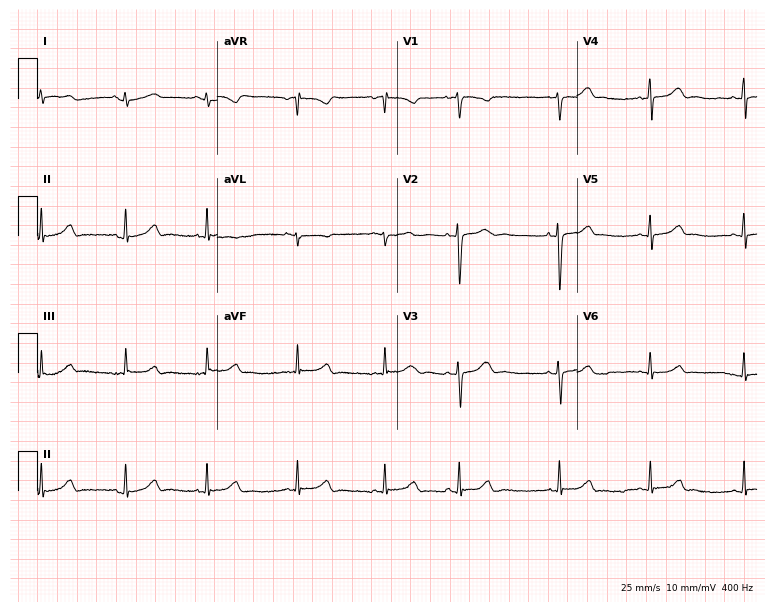
Standard 12-lead ECG recorded from a female patient, 17 years old (7.3-second recording at 400 Hz). None of these six findings is recorded: first-degree AV block, right bundle branch block (RBBB), left bundle branch block (LBBB), sinus bradycardia, atrial fibrillation (AF), sinus tachycardia. Other findings, if any, are not listed.